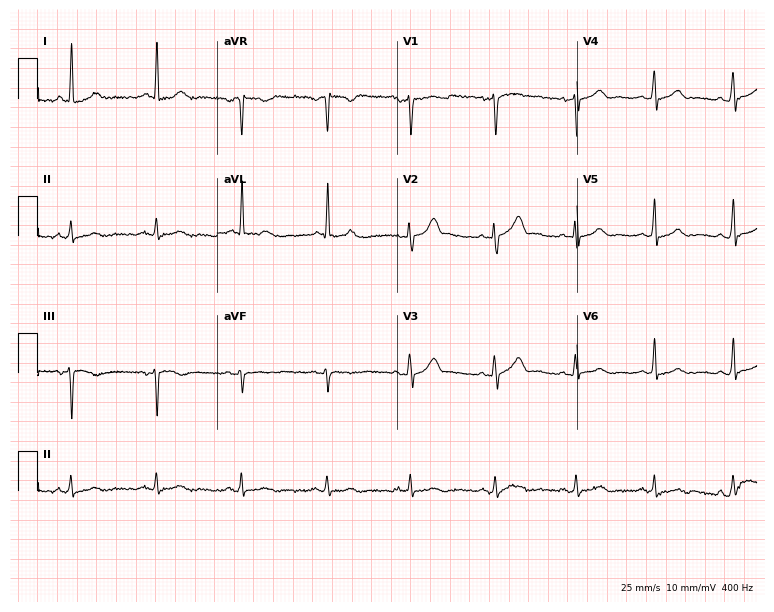
Resting 12-lead electrocardiogram (7.3-second recording at 400 Hz). Patient: a 50-year-old man. Read as a normal ECG.